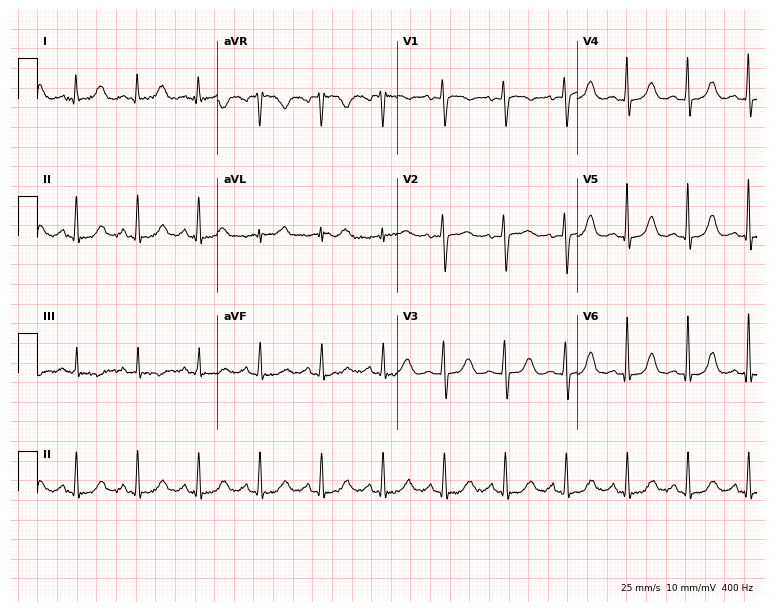
Standard 12-lead ECG recorded from a 50-year-old female patient (7.3-second recording at 400 Hz). None of these six findings is recorded: first-degree AV block, right bundle branch block (RBBB), left bundle branch block (LBBB), sinus bradycardia, atrial fibrillation (AF), sinus tachycardia. Other findings, if any, are not listed.